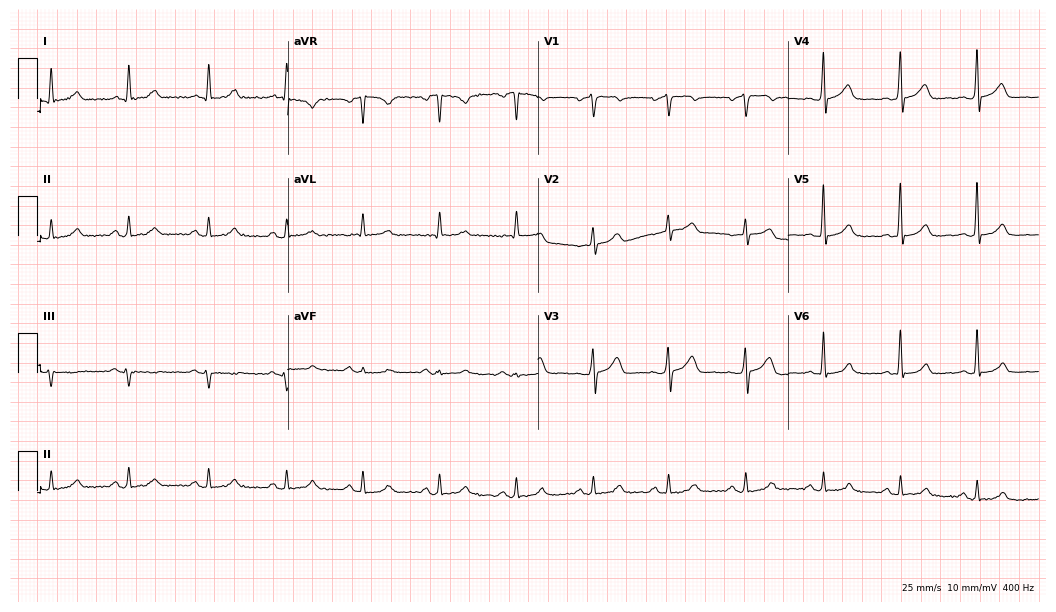
Resting 12-lead electrocardiogram. Patient: a man, 77 years old. Read as a normal ECG.